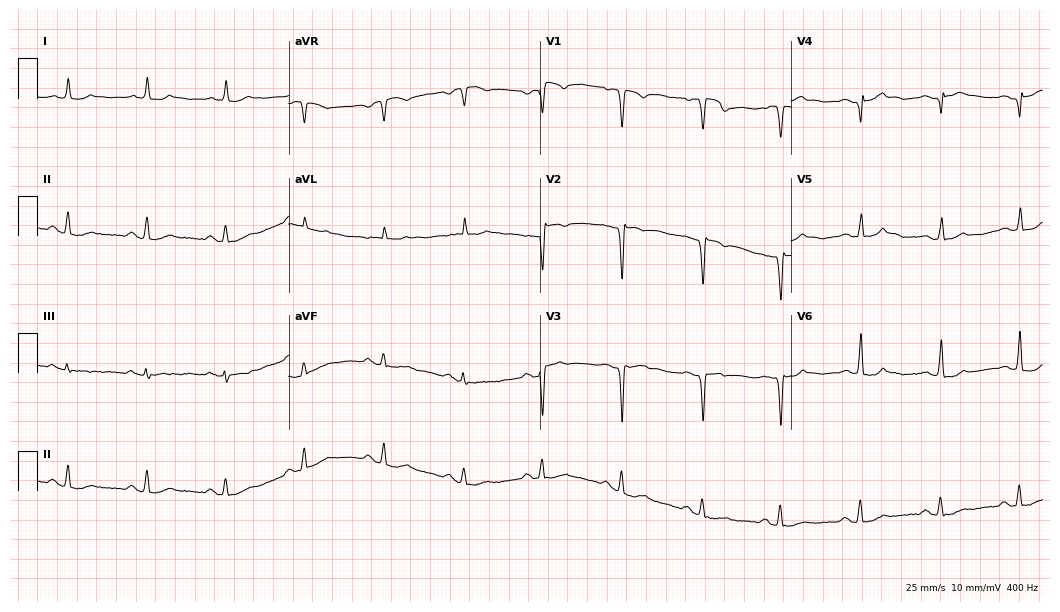
ECG (10.2-second recording at 400 Hz) — an 82-year-old male. Screened for six findings — first-degree AV block, right bundle branch block (RBBB), left bundle branch block (LBBB), sinus bradycardia, atrial fibrillation (AF), sinus tachycardia — none is recorded. Other findings, if any, are not listed.